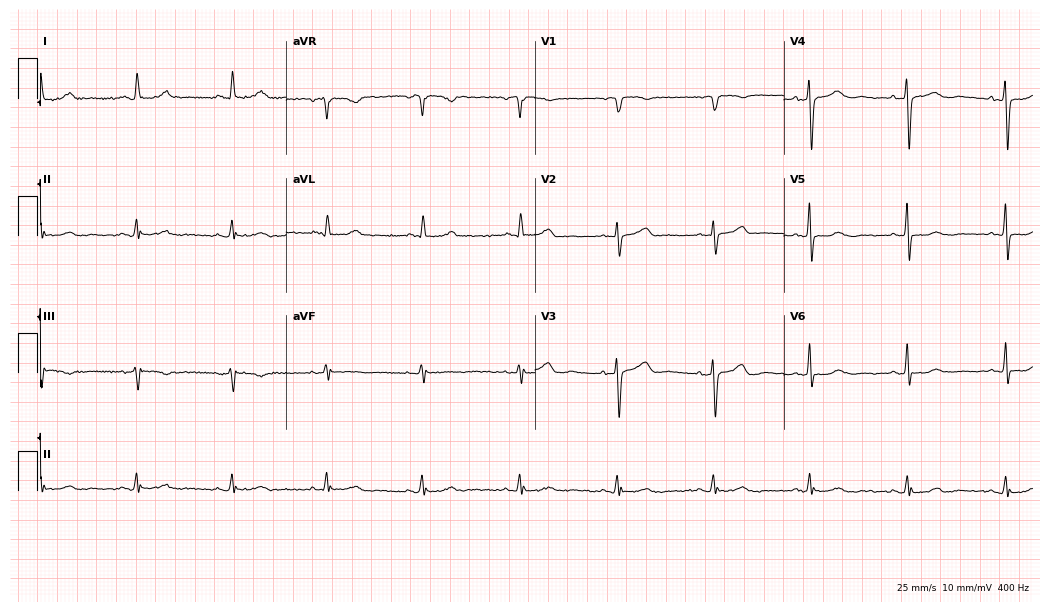
12-lead ECG from a woman, 64 years old (10.1-second recording at 400 Hz). Recorded interpretation: within normal limits.